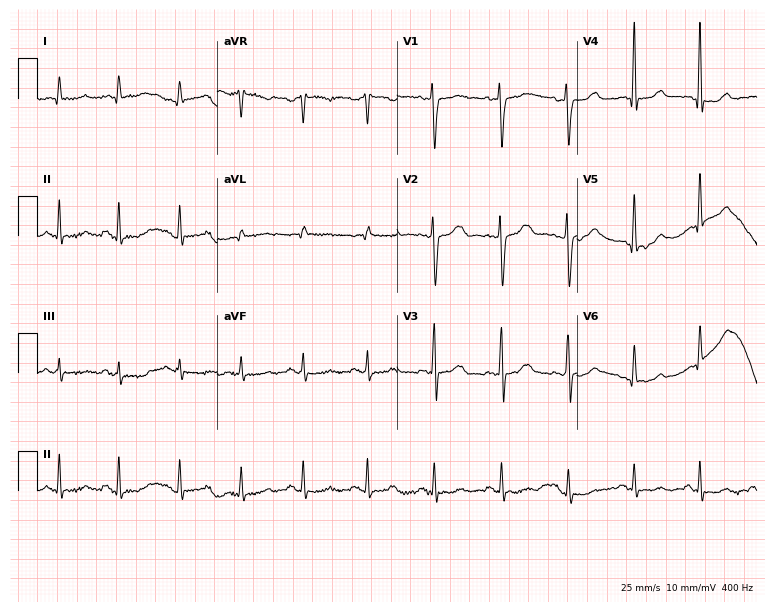
Electrocardiogram, a 32-year-old female patient. Overall reading on record: normal ECG.